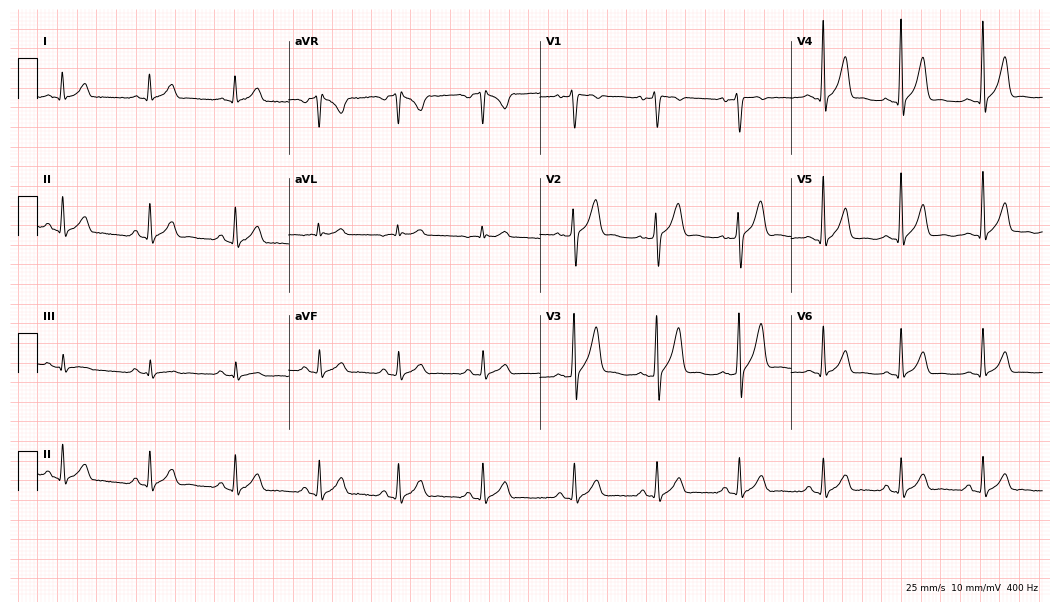
Electrocardiogram, a 30-year-old male. Overall reading on record: normal ECG.